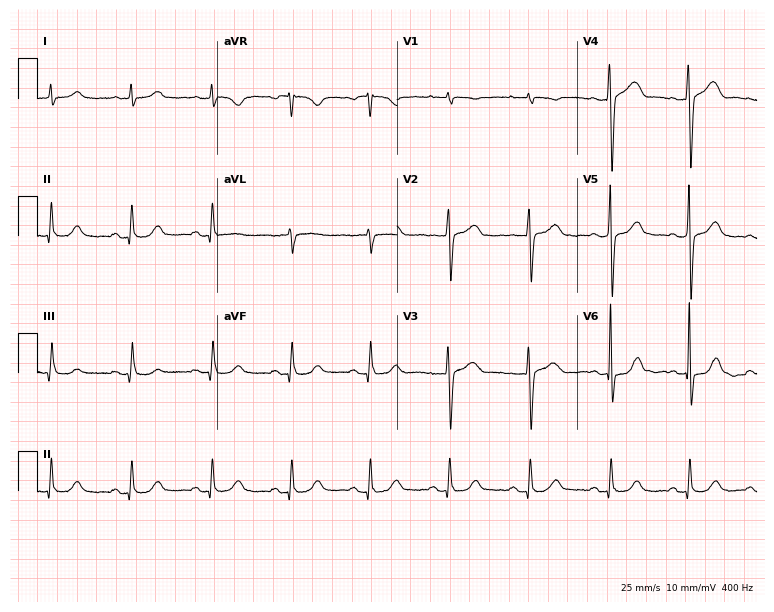
12-lead ECG (7.3-second recording at 400 Hz) from a woman, 61 years old. Screened for six findings — first-degree AV block, right bundle branch block, left bundle branch block, sinus bradycardia, atrial fibrillation, sinus tachycardia — none is recorded.